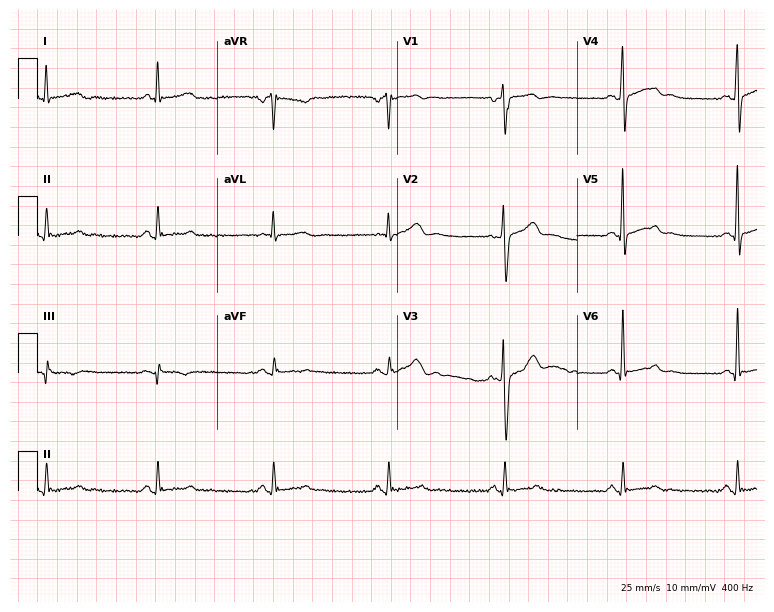
Resting 12-lead electrocardiogram (7.3-second recording at 400 Hz). Patient: a male, 45 years old. Read as a normal ECG.